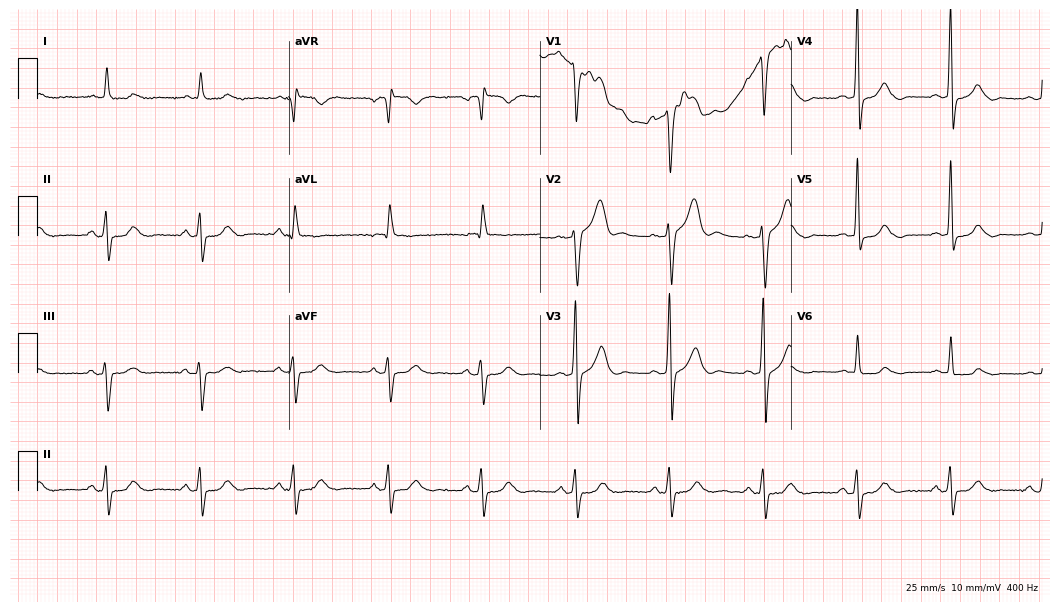
Electrocardiogram (10.2-second recording at 400 Hz), a 70-year-old man. Of the six screened findings (first-degree AV block, right bundle branch block, left bundle branch block, sinus bradycardia, atrial fibrillation, sinus tachycardia), none is recorded. Only these six findings were labelled.